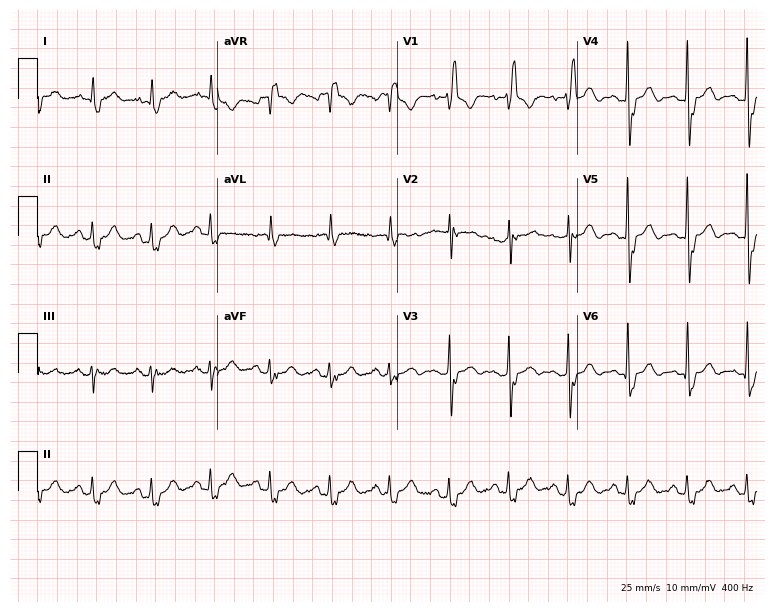
Standard 12-lead ECG recorded from a man, 77 years old (7.3-second recording at 400 Hz). The tracing shows right bundle branch block.